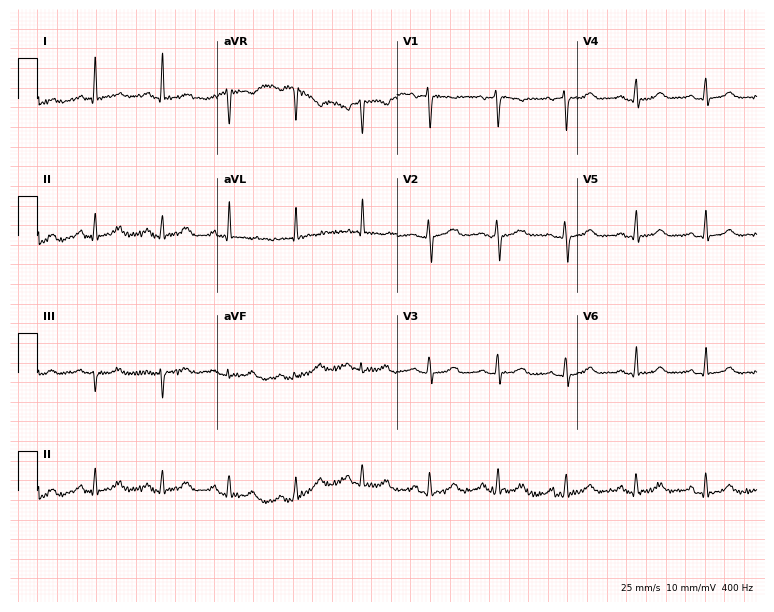
Standard 12-lead ECG recorded from a female, 48 years old. None of these six findings is recorded: first-degree AV block, right bundle branch block, left bundle branch block, sinus bradycardia, atrial fibrillation, sinus tachycardia.